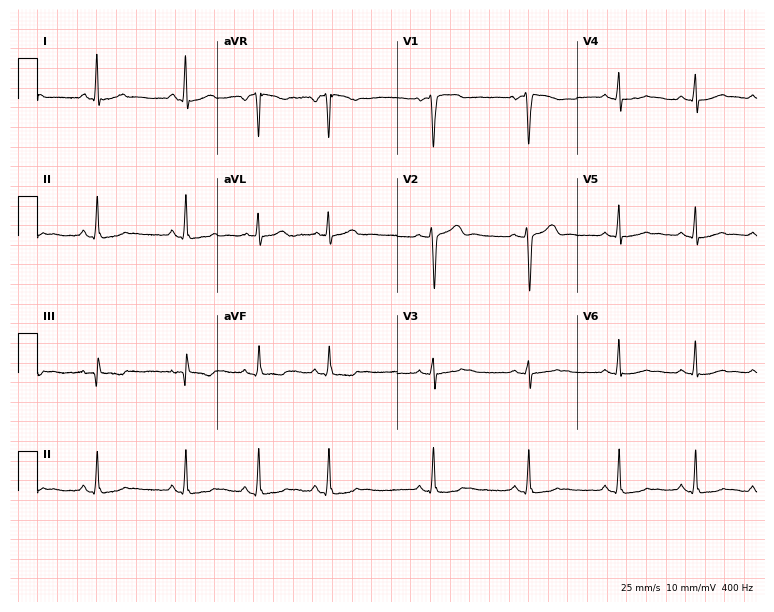
12-lead ECG (7.3-second recording at 400 Hz) from a female, 25 years old. Screened for six findings — first-degree AV block, right bundle branch block, left bundle branch block, sinus bradycardia, atrial fibrillation, sinus tachycardia — none is recorded.